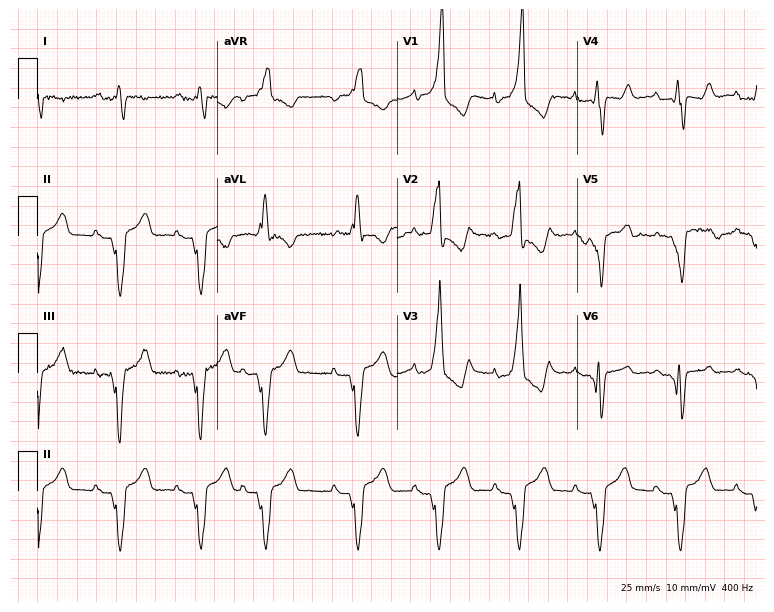
Standard 12-lead ECG recorded from a male, 61 years old (7.3-second recording at 400 Hz). The tracing shows right bundle branch block (RBBB).